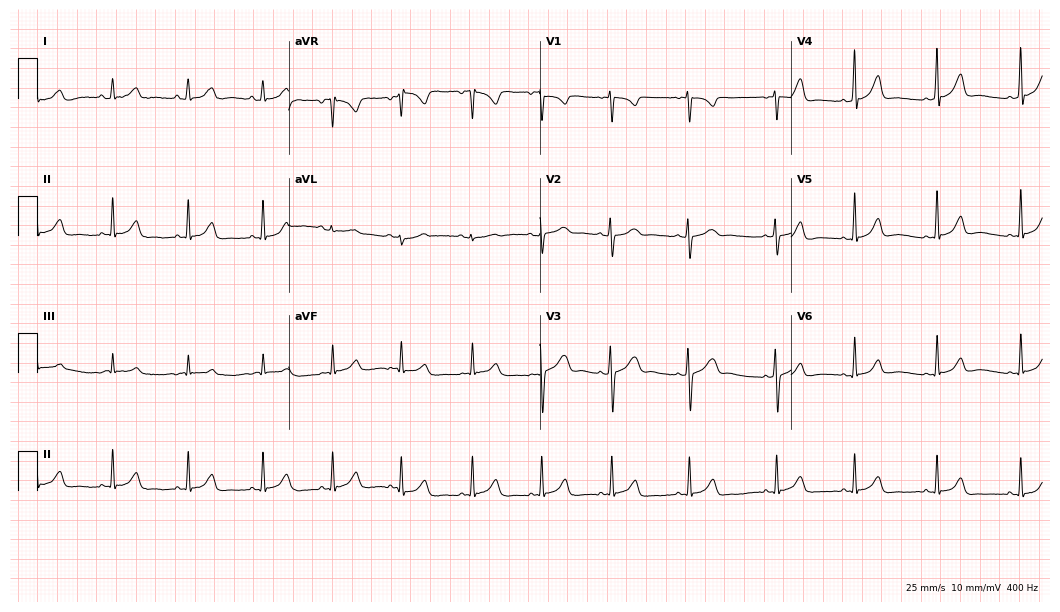
Resting 12-lead electrocardiogram. Patient: a woman, 17 years old. Read as a normal ECG.